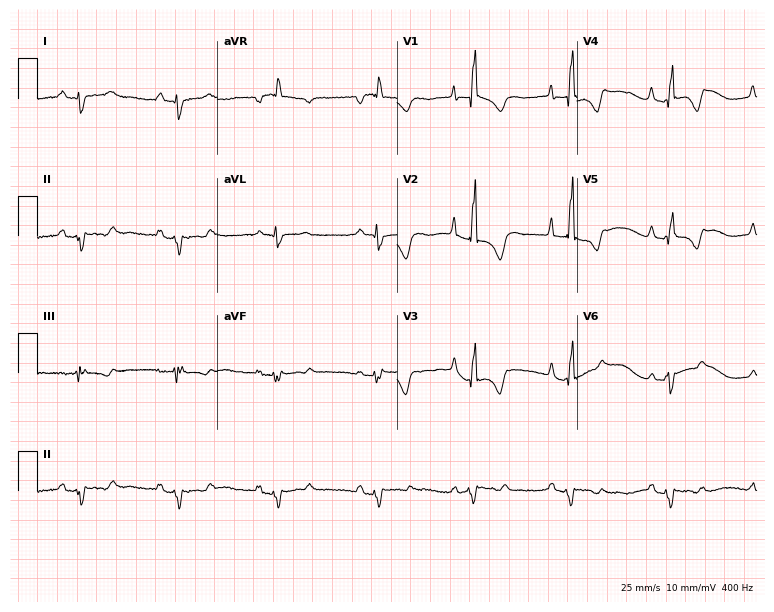
Resting 12-lead electrocardiogram. Patient: a 24-year-old woman. None of these six findings is recorded: first-degree AV block, right bundle branch block, left bundle branch block, sinus bradycardia, atrial fibrillation, sinus tachycardia. Findings outside these six are not listed.